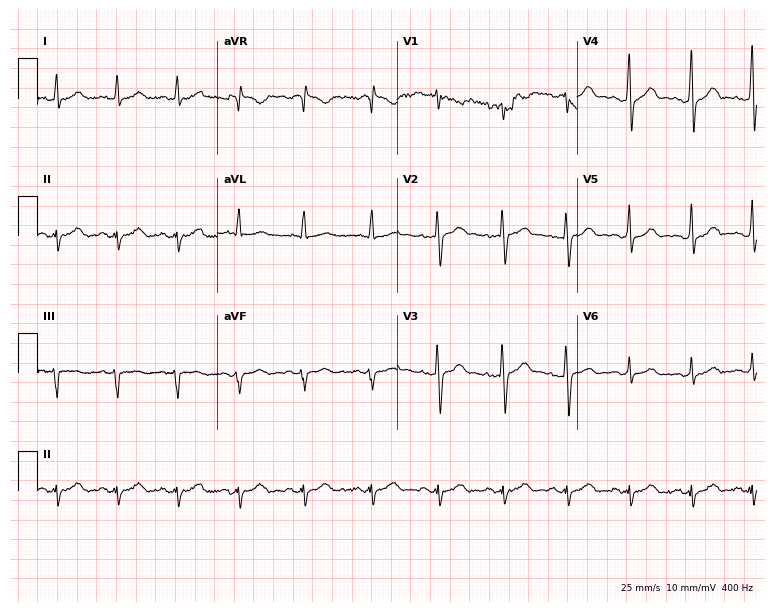
ECG — a male patient, 43 years old. Screened for six findings — first-degree AV block, right bundle branch block (RBBB), left bundle branch block (LBBB), sinus bradycardia, atrial fibrillation (AF), sinus tachycardia — none is recorded.